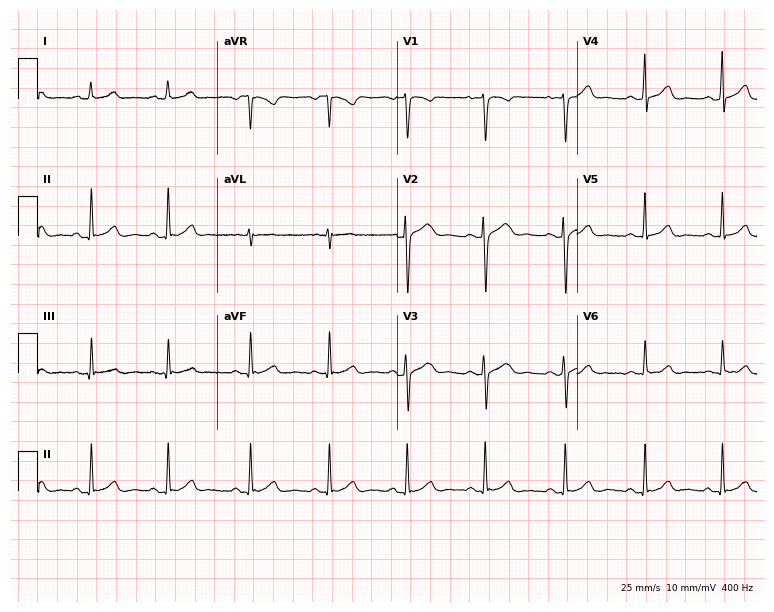
Electrocardiogram (7.3-second recording at 400 Hz), a 17-year-old woman. Overall reading on record: normal ECG.